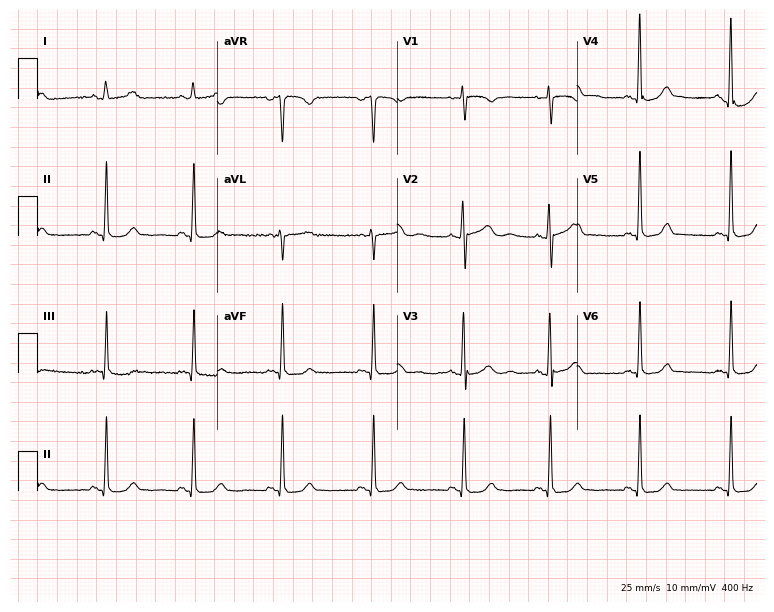
Resting 12-lead electrocardiogram (7.3-second recording at 400 Hz). Patient: a 48-year-old female. None of these six findings is recorded: first-degree AV block, right bundle branch block, left bundle branch block, sinus bradycardia, atrial fibrillation, sinus tachycardia. Findings outside these six are not listed.